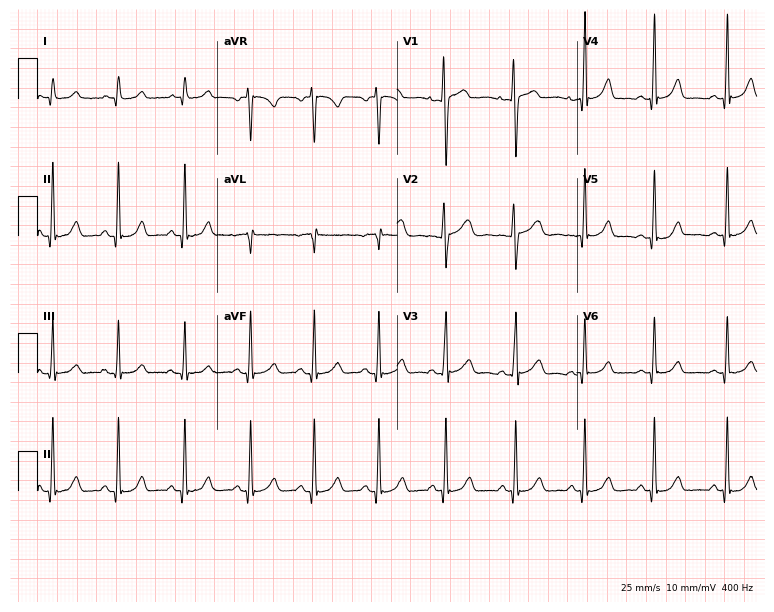
ECG — a female patient, 50 years old. Labelled as a normal ECG.